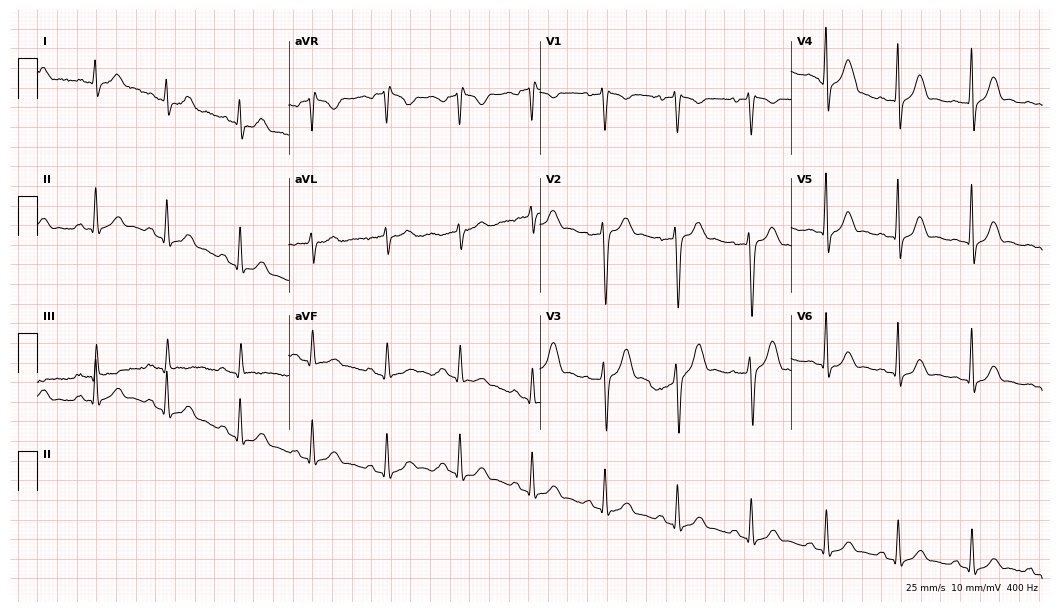
Resting 12-lead electrocardiogram (10.2-second recording at 400 Hz). Patient: a 24-year-old male. None of these six findings is recorded: first-degree AV block, right bundle branch block, left bundle branch block, sinus bradycardia, atrial fibrillation, sinus tachycardia. Findings outside these six are not listed.